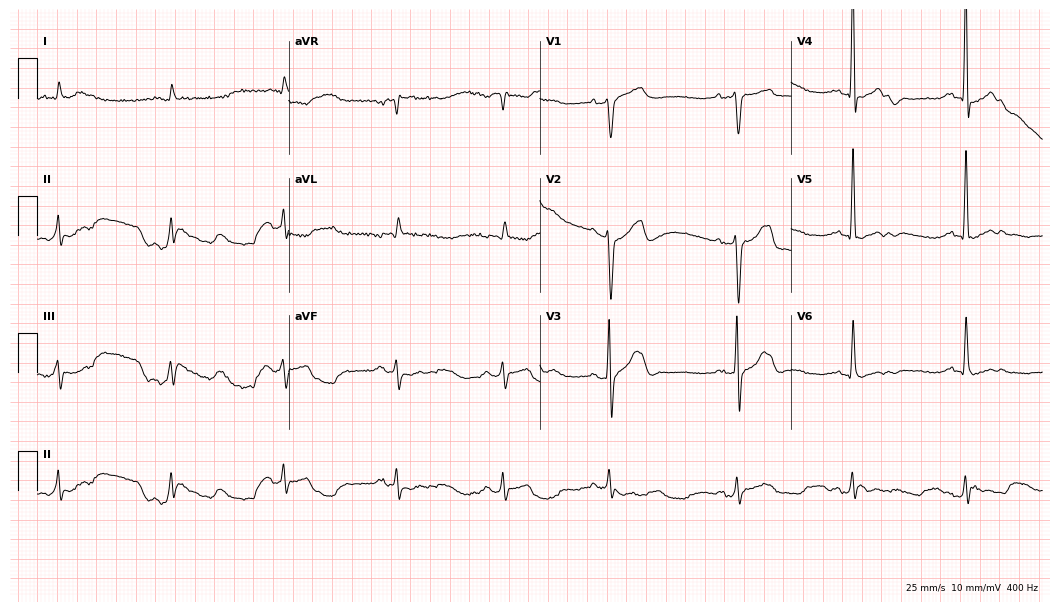
ECG (10.2-second recording at 400 Hz) — an 84-year-old male. Screened for six findings — first-degree AV block, right bundle branch block, left bundle branch block, sinus bradycardia, atrial fibrillation, sinus tachycardia — none is recorded.